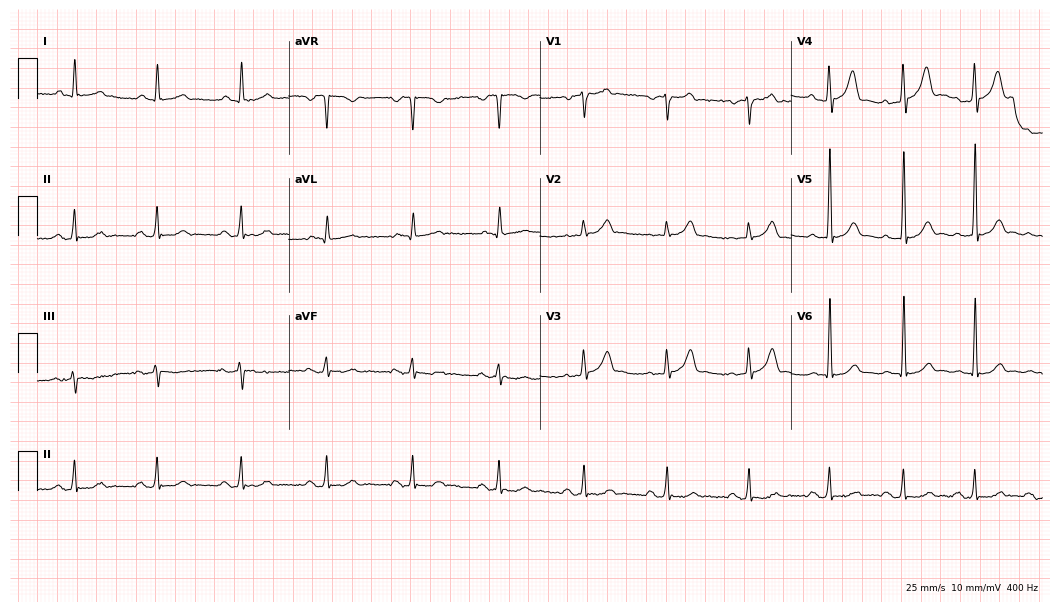
12-lead ECG from a 71-year-old male patient. No first-degree AV block, right bundle branch block (RBBB), left bundle branch block (LBBB), sinus bradycardia, atrial fibrillation (AF) or sinus tachycardia recorded for this tracing.